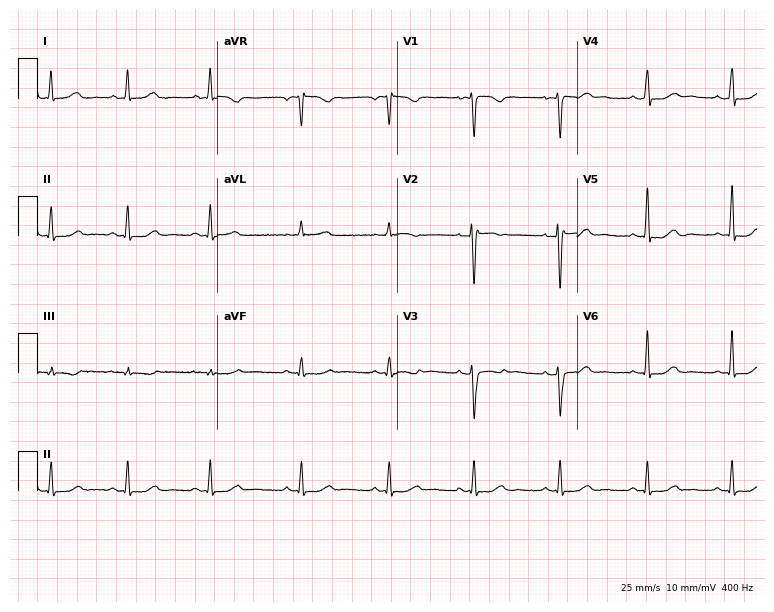
Electrocardiogram (7.3-second recording at 400 Hz), a woman, 30 years old. Of the six screened findings (first-degree AV block, right bundle branch block (RBBB), left bundle branch block (LBBB), sinus bradycardia, atrial fibrillation (AF), sinus tachycardia), none is recorded. Only these six findings were labelled.